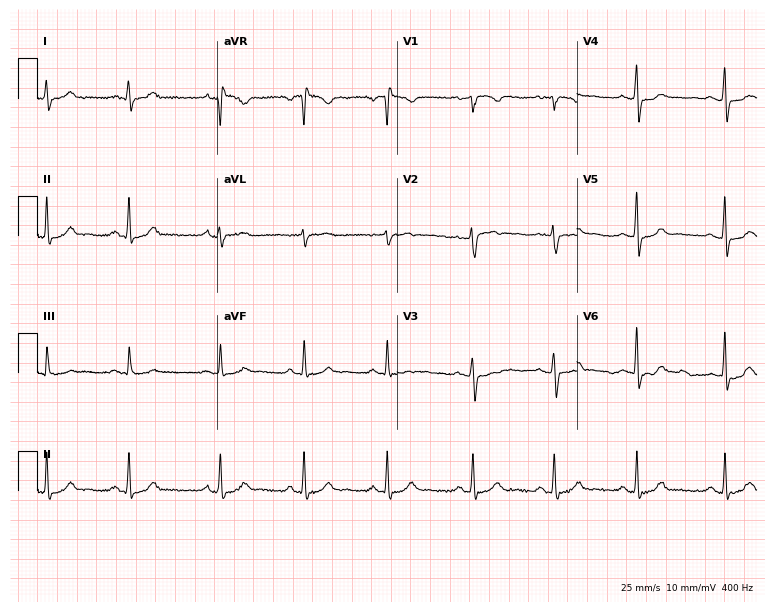
12-lead ECG from a woman, 25 years old (7.3-second recording at 400 Hz). No first-degree AV block, right bundle branch block (RBBB), left bundle branch block (LBBB), sinus bradycardia, atrial fibrillation (AF) or sinus tachycardia recorded for this tracing.